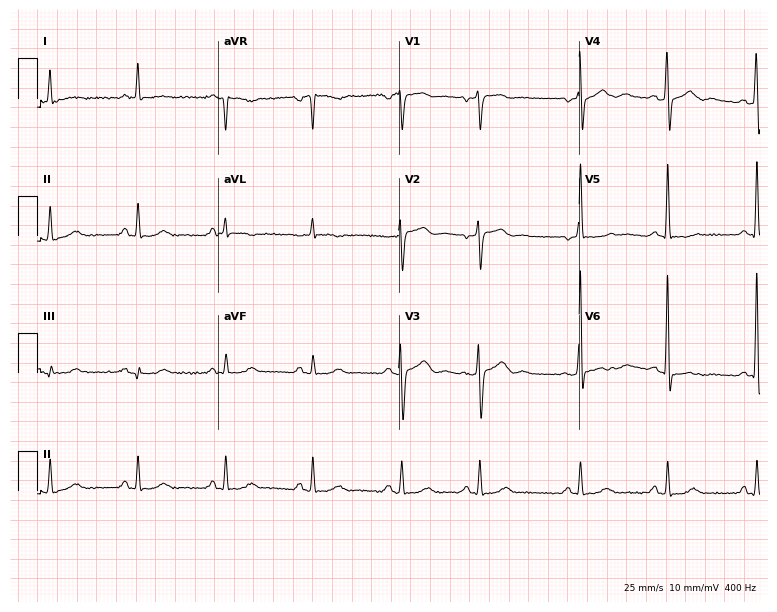
Resting 12-lead electrocardiogram. Patient: a 73-year-old man. Read as a normal ECG.